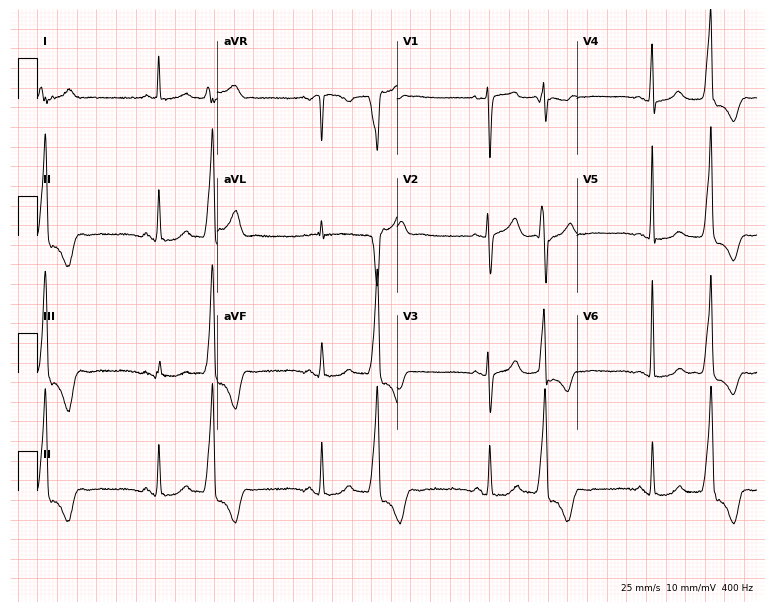
Electrocardiogram (7.3-second recording at 400 Hz), a woman, 62 years old. Of the six screened findings (first-degree AV block, right bundle branch block, left bundle branch block, sinus bradycardia, atrial fibrillation, sinus tachycardia), none is recorded.